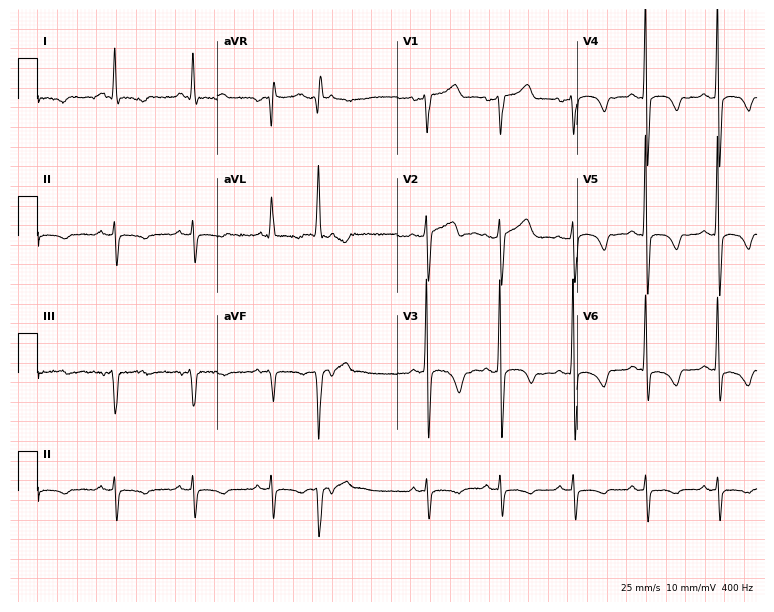
Electrocardiogram (7.3-second recording at 400 Hz), a man, 54 years old. Of the six screened findings (first-degree AV block, right bundle branch block, left bundle branch block, sinus bradycardia, atrial fibrillation, sinus tachycardia), none is recorded. Findings outside these six are not listed.